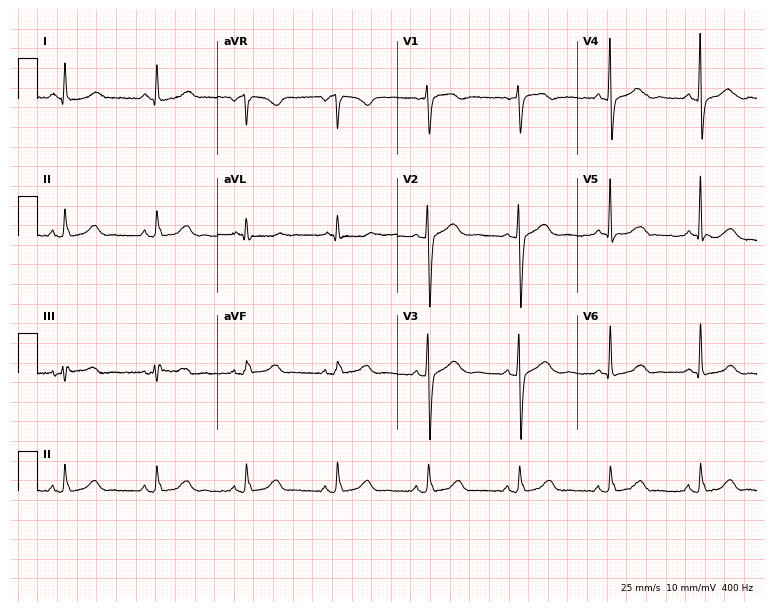
Resting 12-lead electrocardiogram. Patient: a female, 54 years old. None of these six findings is recorded: first-degree AV block, right bundle branch block, left bundle branch block, sinus bradycardia, atrial fibrillation, sinus tachycardia.